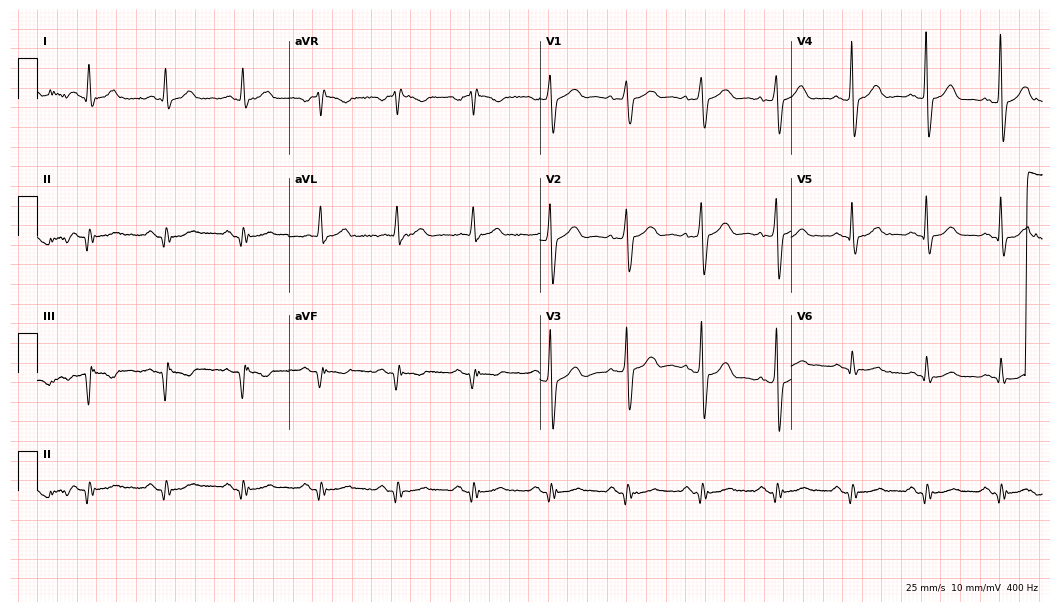
12-lead ECG from a male, 58 years old. No first-degree AV block, right bundle branch block, left bundle branch block, sinus bradycardia, atrial fibrillation or sinus tachycardia recorded for this tracing. Other findings, if any, are not listed.